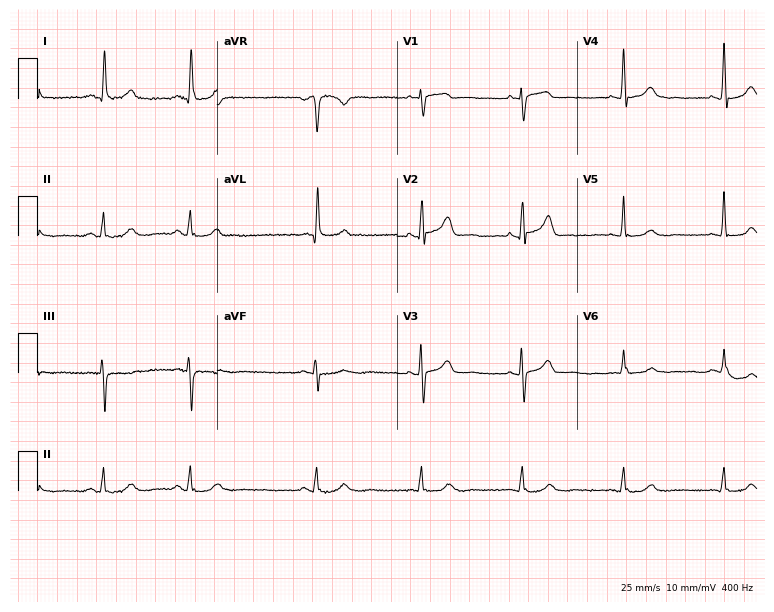
Resting 12-lead electrocardiogram. Patient: a 69-year-old female. Read as a normal ECG.